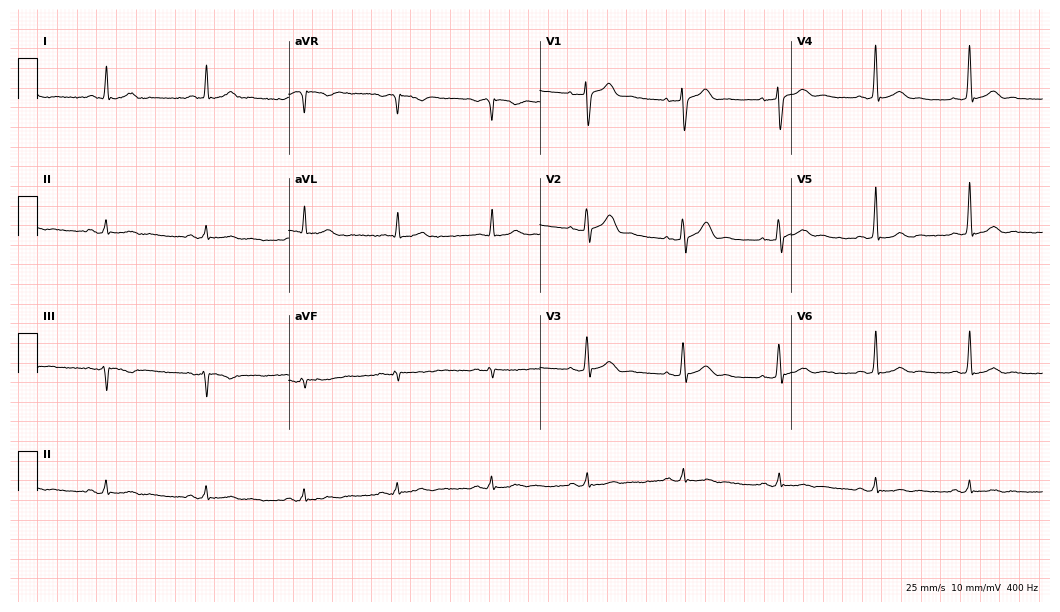
12-lead ECG from a male, 48 years old (10.2-second recording at 400 Hz). No first-degree AV block, right bundle branch block, left bundle branch block, sinus bradycardia, atrial fibrillation or sinus tachycardia recorded for this tracing. Other findings, if any, are not listed.